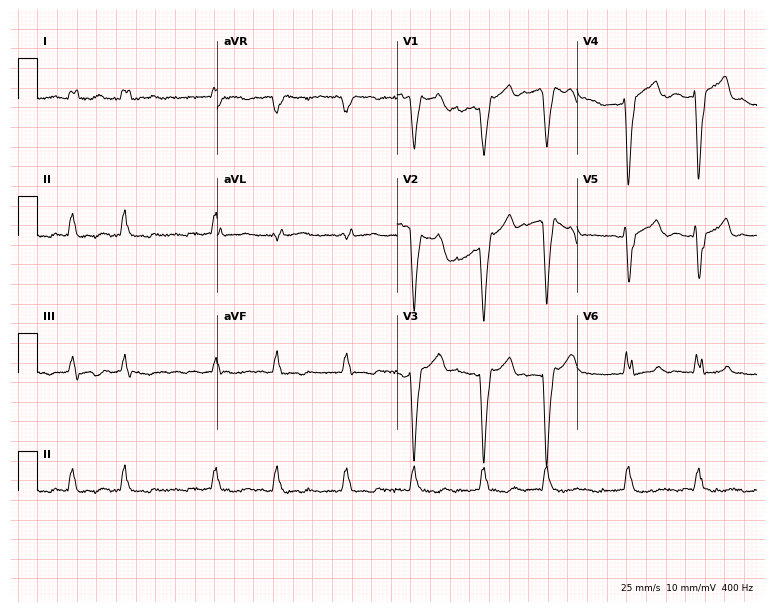
Electrocardiogram, a 63-year-old female patient. Interpretation includes left bundle branch block (LBBB), atrial fibrillation (AF).